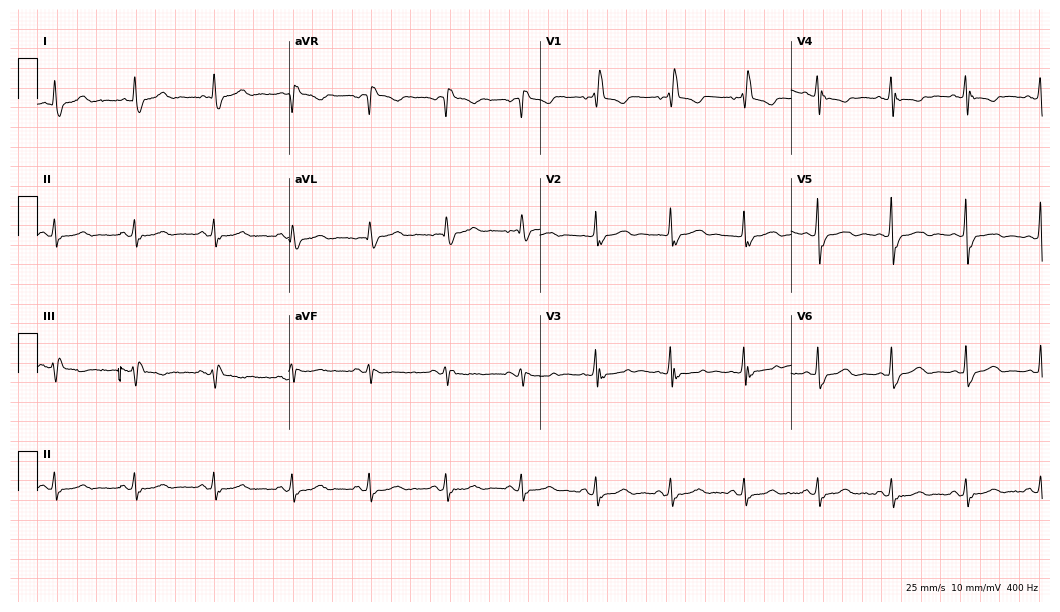
Resting 12-lead electrocardiogram (10.2-second recording at 400 Hz). Patient: an 82-year-old woman. The tracing shows right bundle branch block.